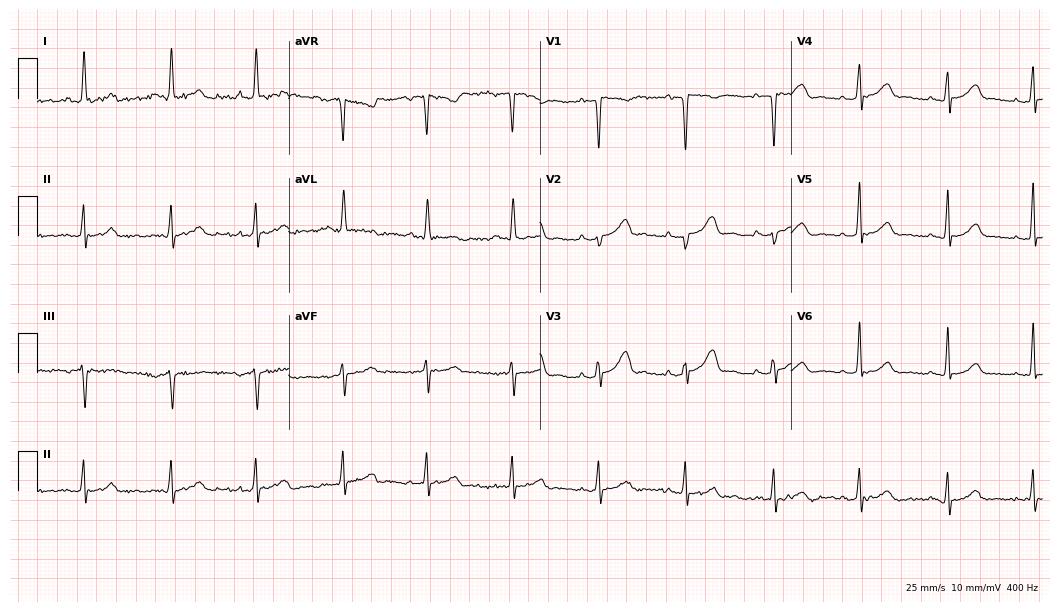
12-lead ECG from a female, 32 years old (10.2-second recording at 400 Hz). No first-degree AV block, right bundle branch block (RBBB), left bundle branch block (LBBB), sinus bradycardia, atrial fibrillation (AF) or sinus tachycardia recorded for this tracing. Only these six findings were labelled.